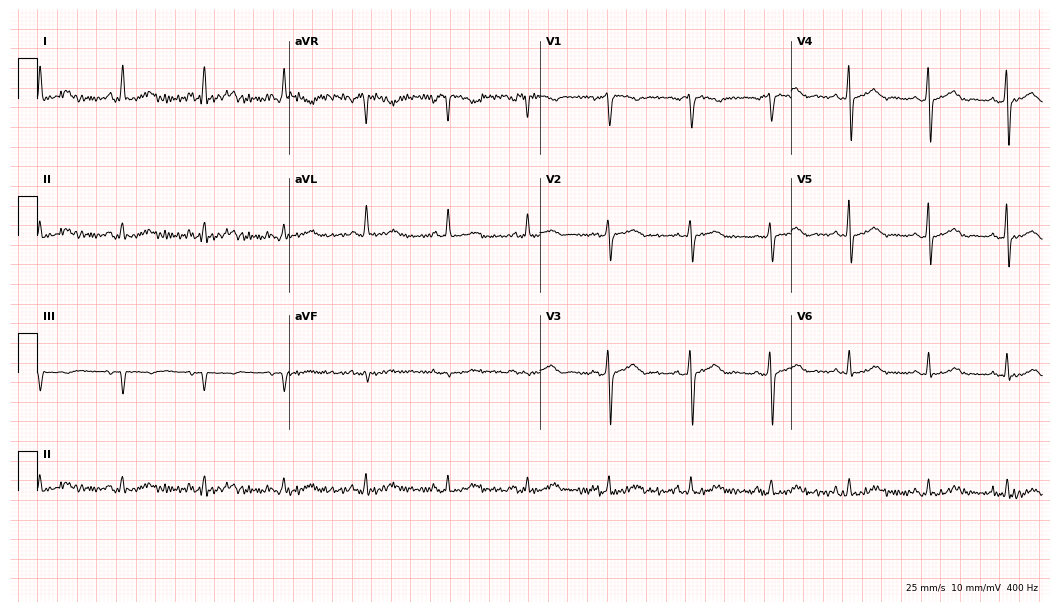
Standard 12-lead ECG recorded from a 55-year-old female (10.2-second recording at 400 Hz). Read as a normal ECG.